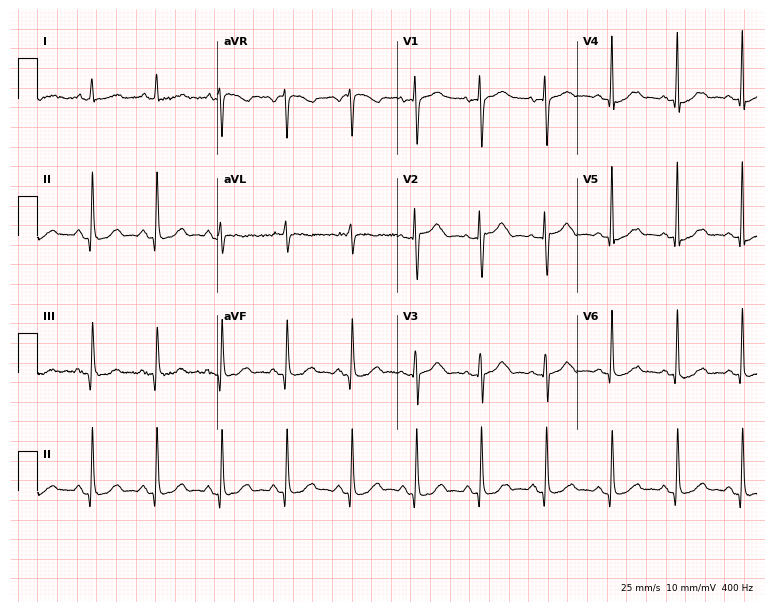
ECG — an 83-year-old female patient. Screened for six findings — first-degree AV block, right bundle branch block, left bundle branch block, sinus bradycardia, atrial fibrillation, sinus tachycardia — none is recorded. Only these six findings were labelled.